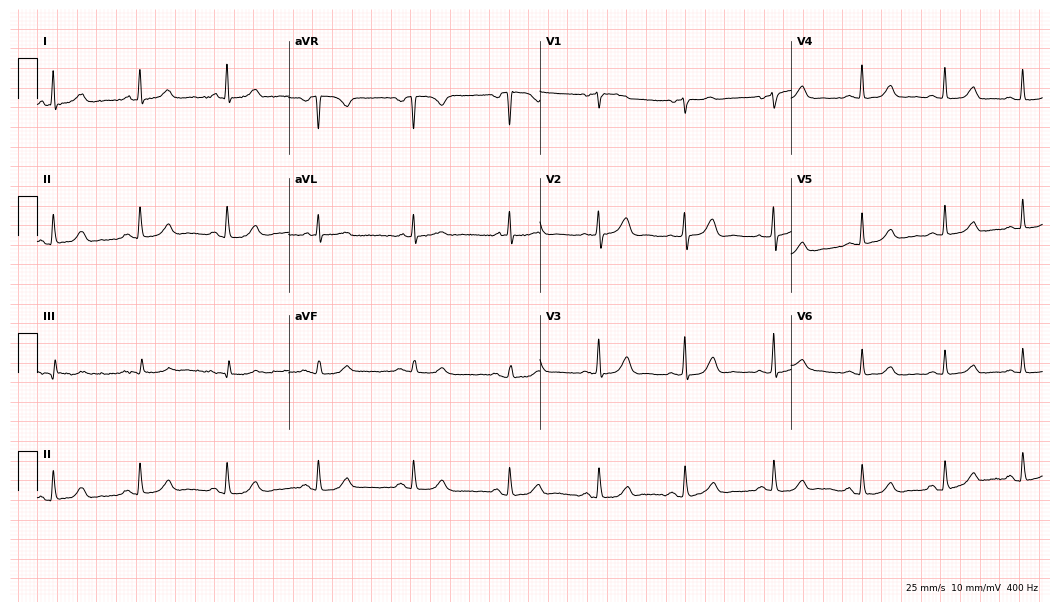
12-lead ECG from a 68-year-old female patient. No first-degree AV block, right bundle branch block (RBBB), left bundle branch block (LBBB), sinus bradycardia, atrial fibrillation (AF) or sinus tachycardia recorded for this tracing. Only these six findings were labelled.